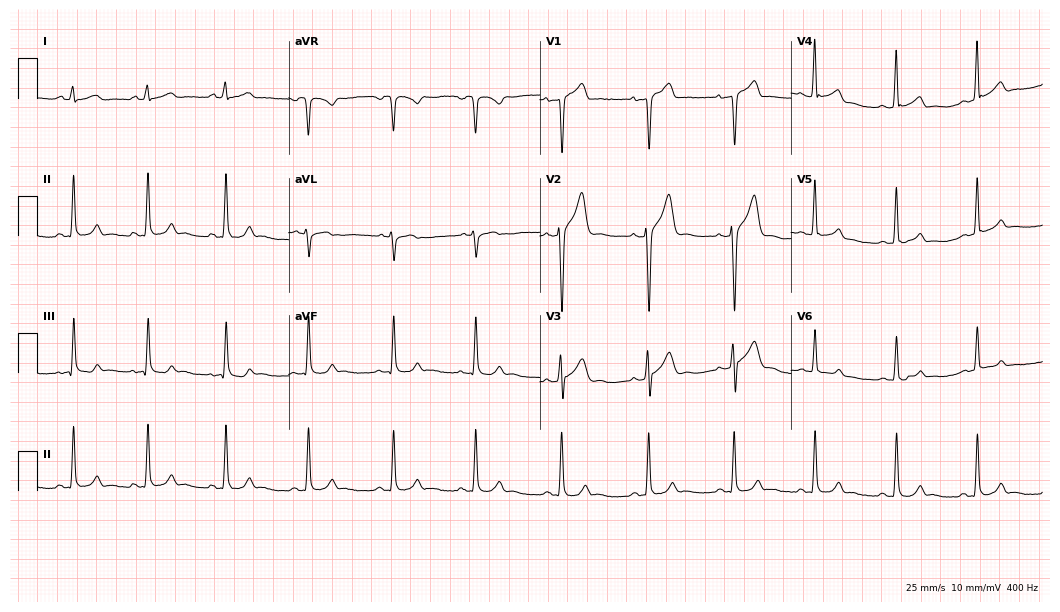
Standard 12-lead ECG recorded from a 26-year-old male. Read as a normal ECG.